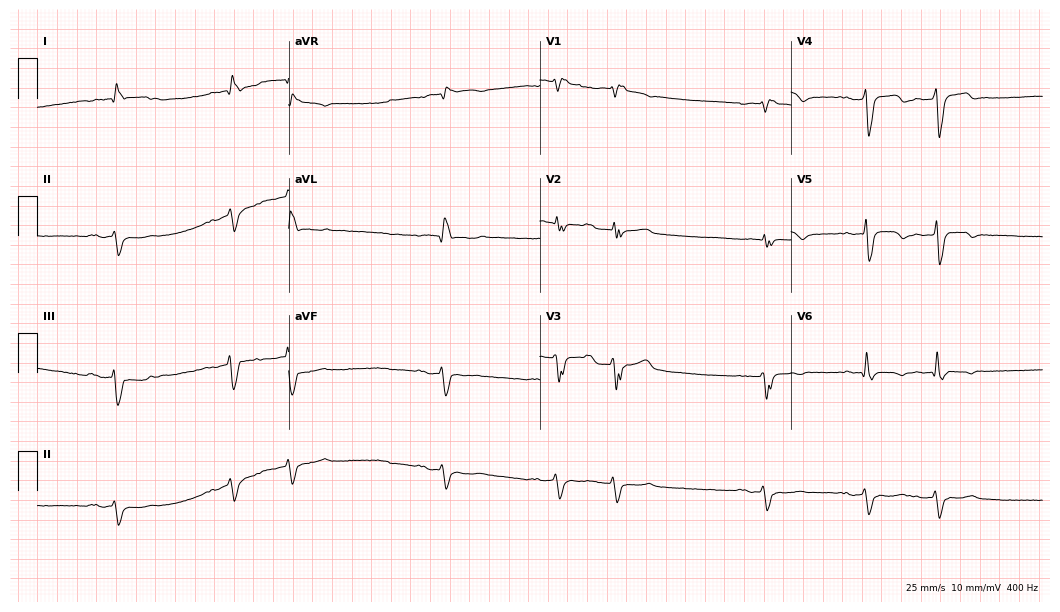
ECG — a 76-year-old male patient. Findings include first-degree AV block, atrial fibrillation.